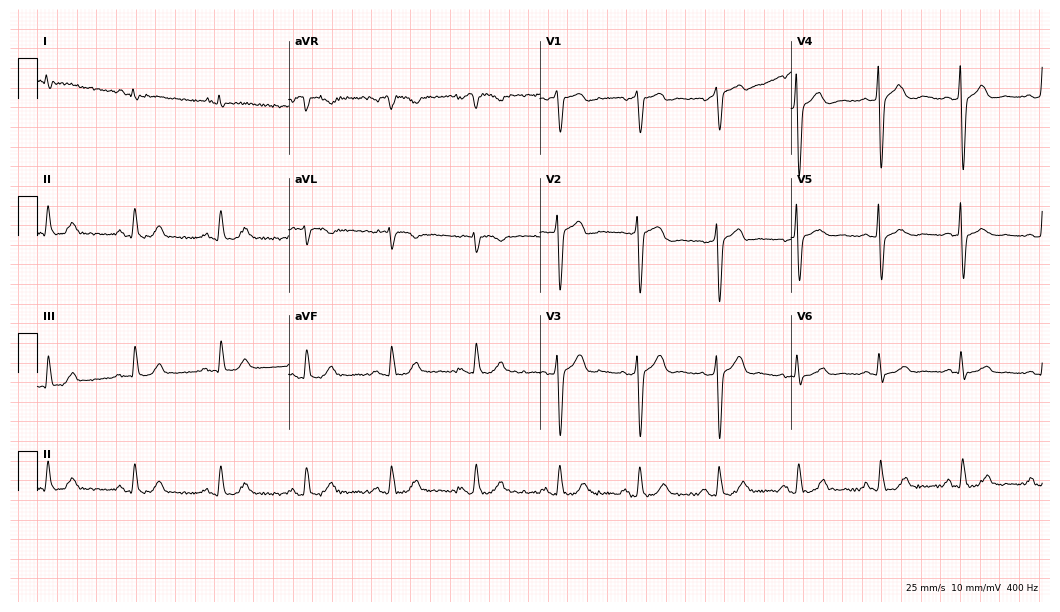
12-lead ECG from a man, 62 years old. Screened for six findings — first-degree AV block, right bundle branch block, left bundle branch block, sinus bradycardia, atrial fibrillation, sinus tachycardia — none is recorded. Only these six findings were labelled.